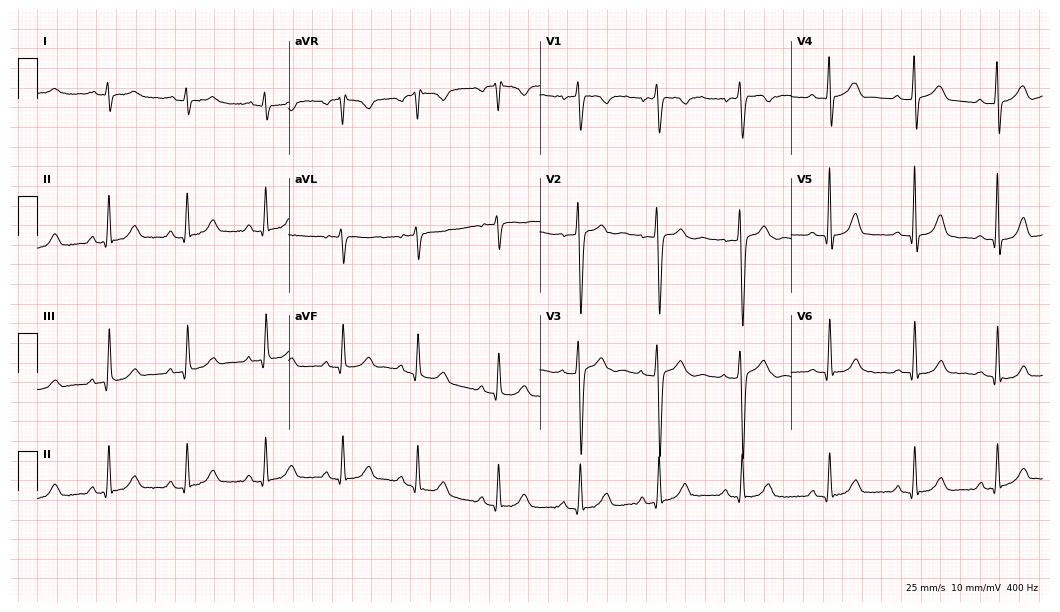
12-lead ECG from a 17-year-old male patient. No first-degree AV block, right bundle branch block, left bundle branch block, sinus bradycardia, atrial fibrillation or sinus tachycardia recorded for this tracing.